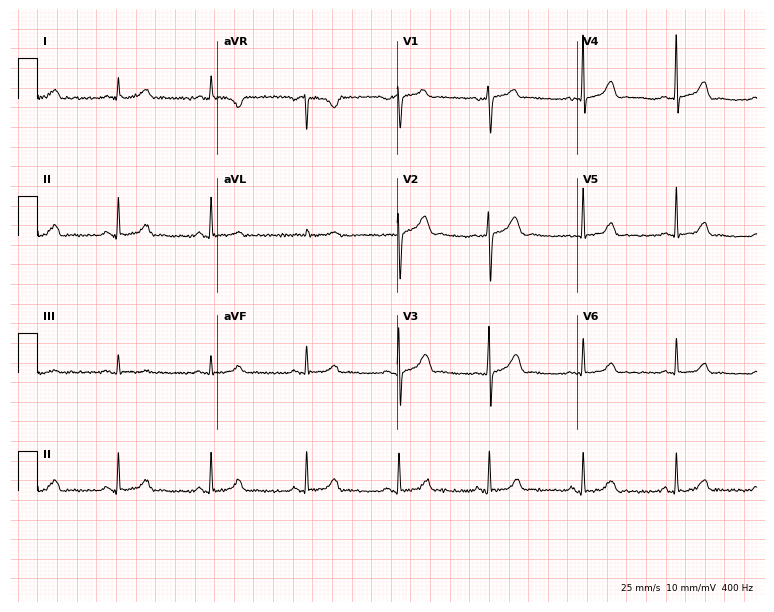
Electrocardiogram (7.3-second recording at 400 Hz), a 43-year-old woman. Overall reading on record: normal ECG.